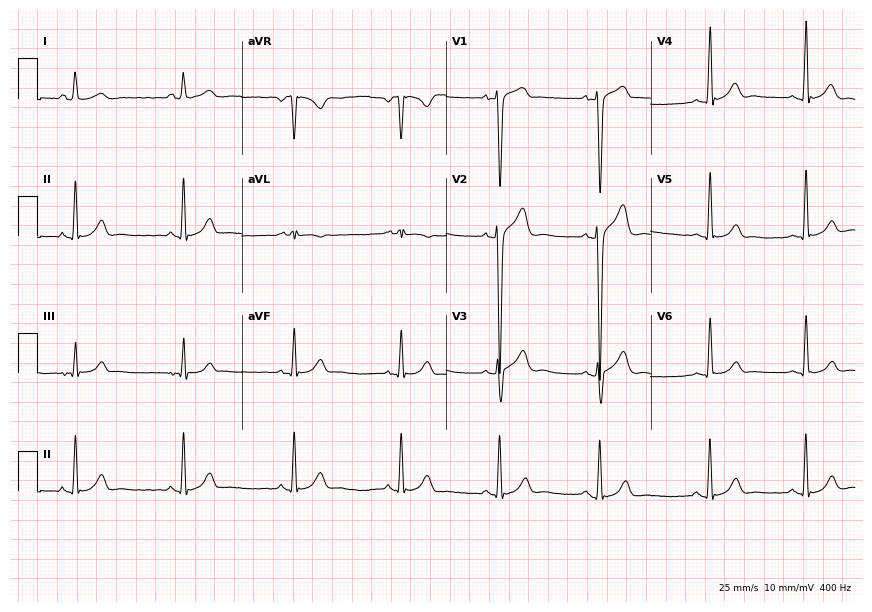
Electrocardiogram, a 19-year-old man. Overall reading on record: normal ECG.